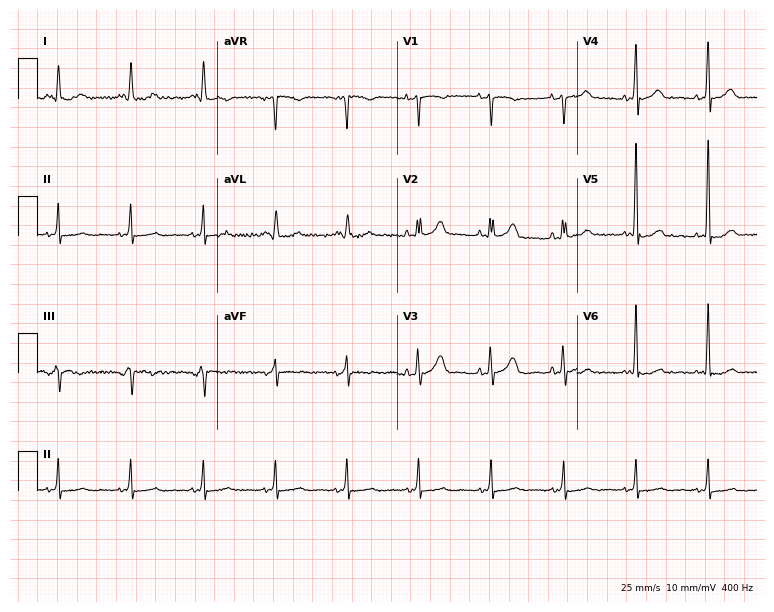
Standard 12-lead ECG recorded from a female, 72 years old (7.3-second recording at 400 Hz). None of these six findings is recorded: first-degree AV block, right bundle branch block (RBBB), left bundle branch block (LBBB), sinus bradycardia, atrial fibrillation (AF), sinus tachycardia. Only these six findings were labelled.